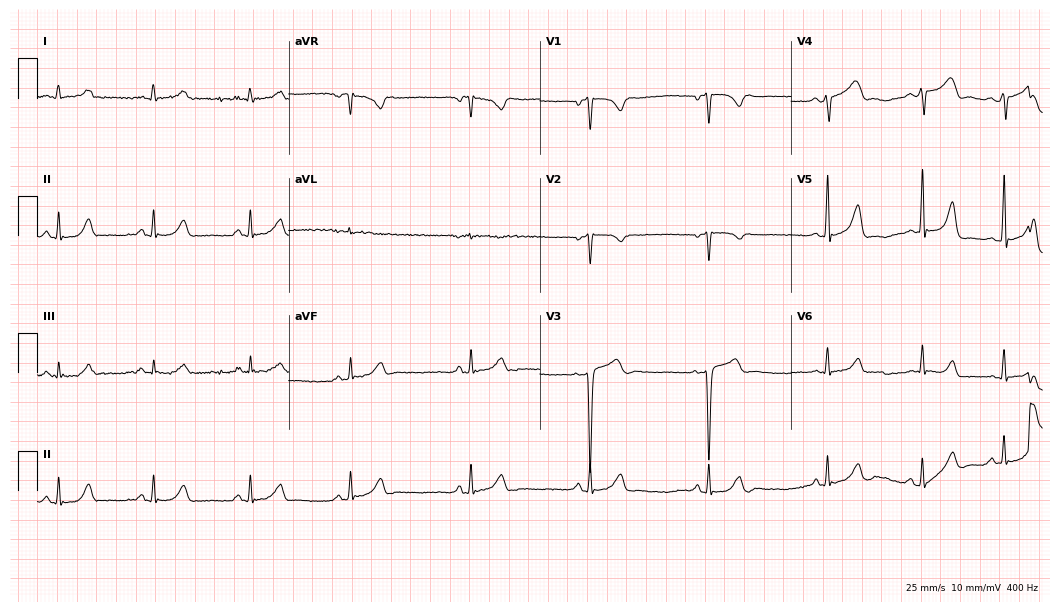
12-lead ECG (10.2-second recording at 400 Hz) from a 19-year-old male. Labelled as a normal ECG.